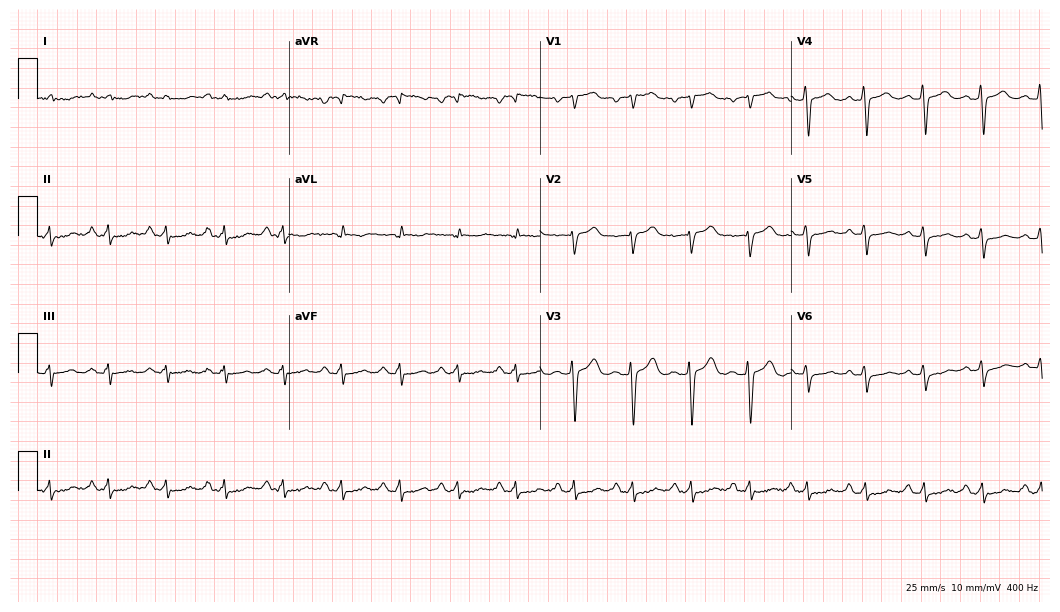
12-lead ECG (10.2-second recording at 400 Hz) from a 50-year-old male. Screened for six findings — first-degree AV block, right bundle branch block, left bundle branch block, sinus bradycardia, atrial fibrillation, sinus tachycardia — none is recorded.